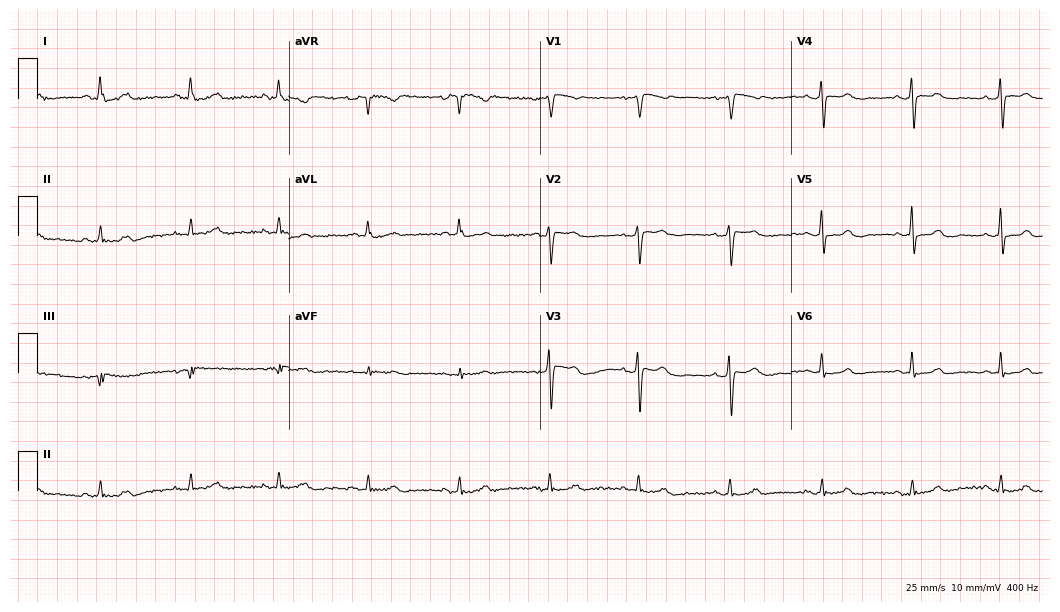
12-lead ECG from a female, 57 years old (10.2-second recording at 400 Hz). No first-degree AV block, right bundle branch block, left bundle branch block, sinus bradycardia, atrial fibrillation or sinus tachycardia recorded for this tracing.